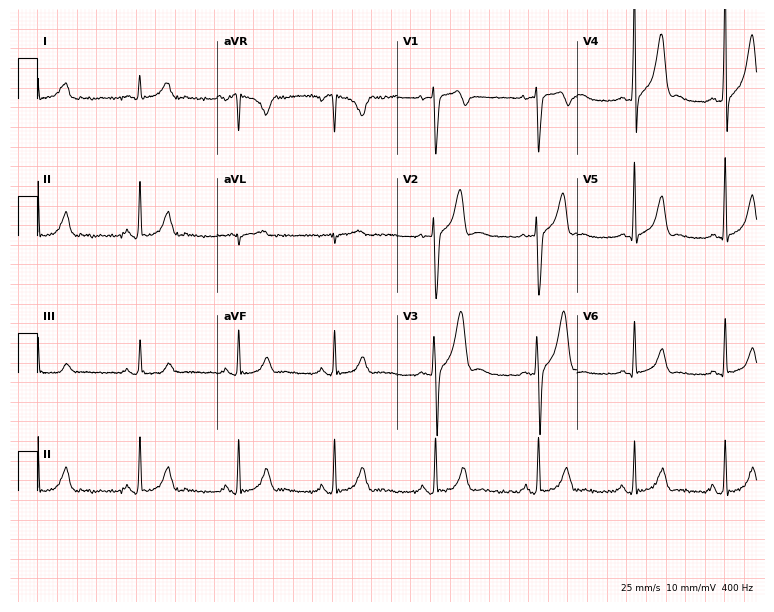
12-lead ECG (7.3-second recording at 400 Hz) from a 30-year-old man. Labelled as a normal ECG.